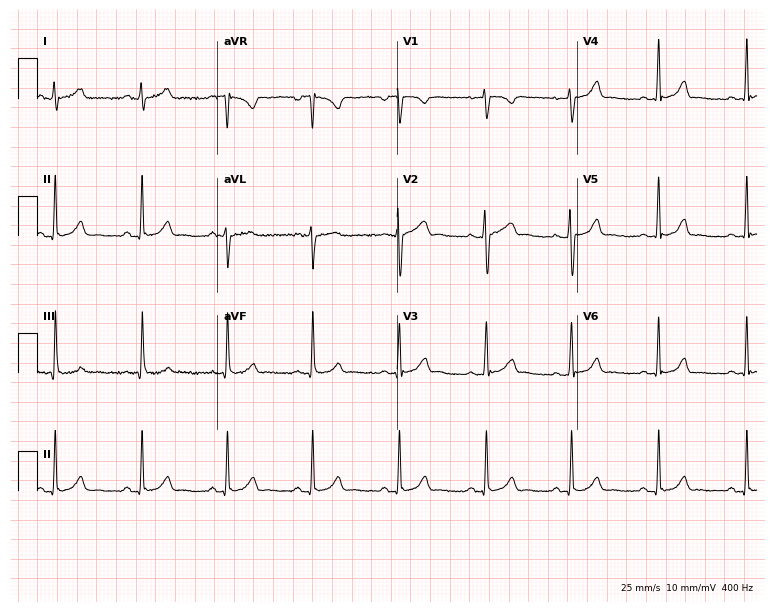
Electrocardiogram, a 27-year-old female patient. Of the six screened findings (first-degree AV block, right bundle branch block, left bundle branch block, sinus bradycardia, atrial fibrillation, sinus tachycardia), none is recorded.